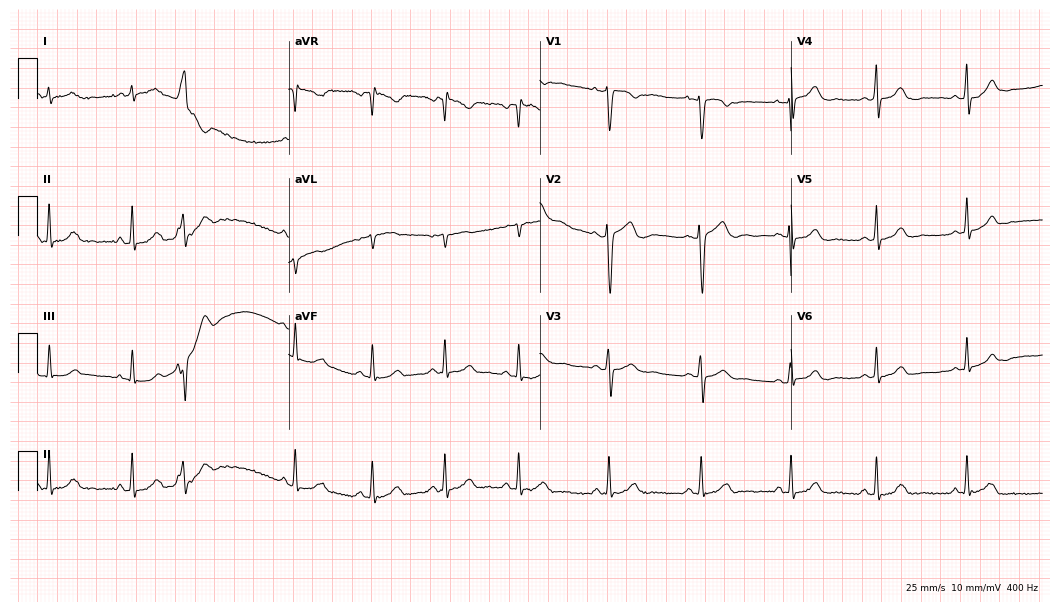
ECG — a man, 26 years old. Labelled as a normal ECG.